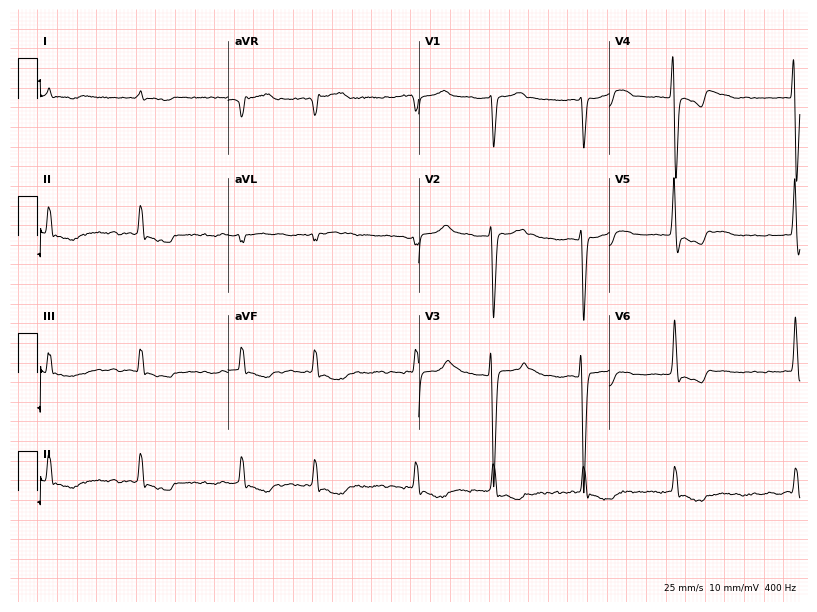
Electrocardiogram (7.8-second recording at 400 Hz), a 78-year-old male patient. Interpretation includes atrial fibrillation.